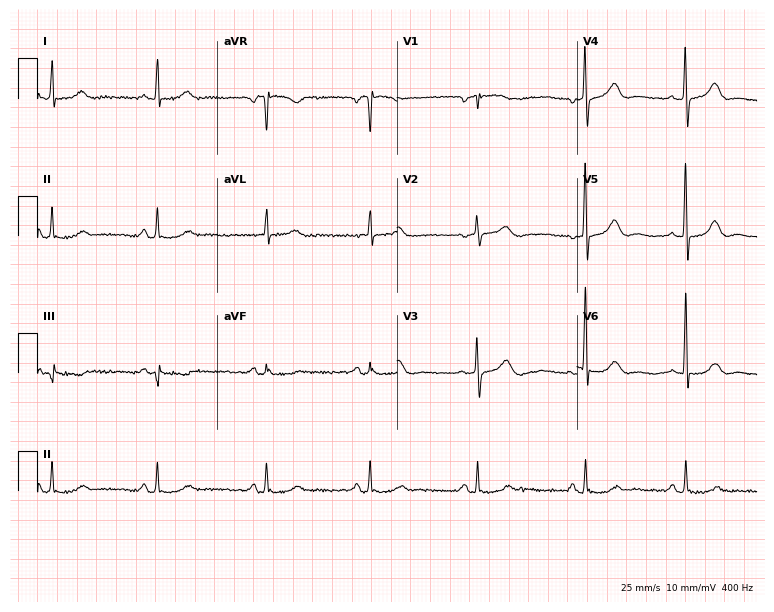
ECG — a 77-year-old female patient. Labelled as a normal ECG.